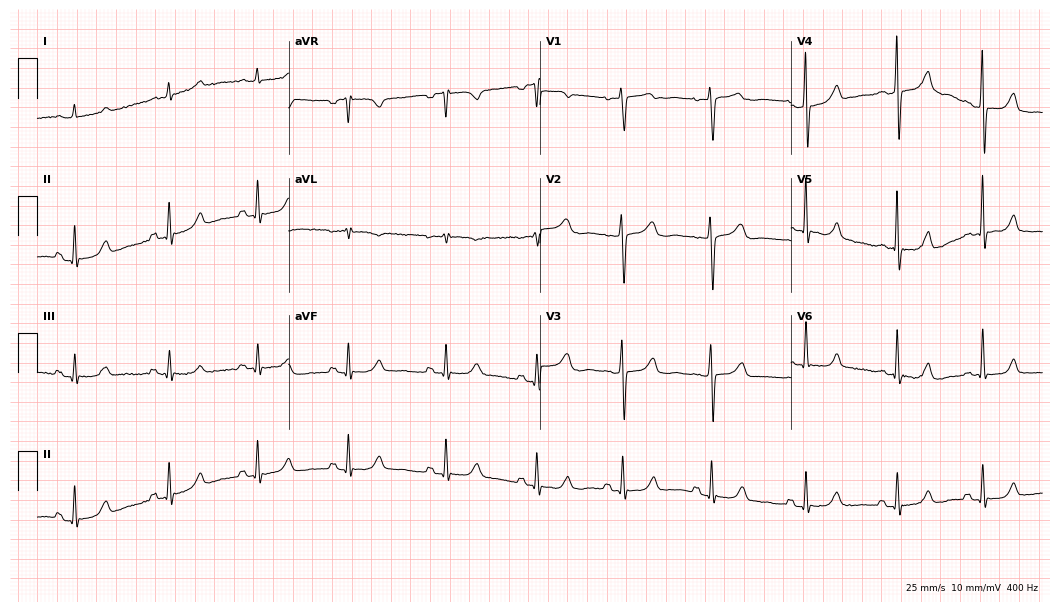
Standard 12-lead ECG recorded from a woman, 57 years old. None of these six findings is recorded: first-degree AV block, right bundle branch block, left bundle branch block, sinus bradycardia, atrial fibrillation, sinus tachycardia.